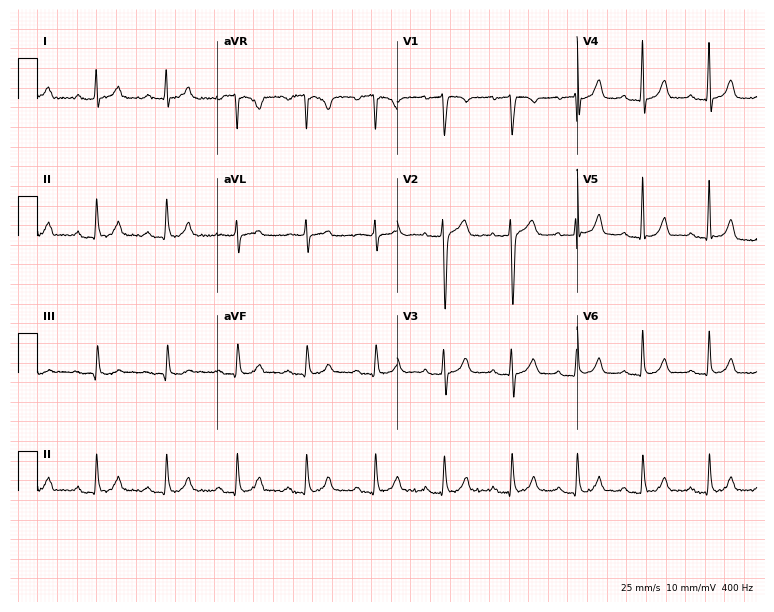
Resting 12-lead electrocardiogram. Patient: a man, 63 years old. Read as a normal ECG.